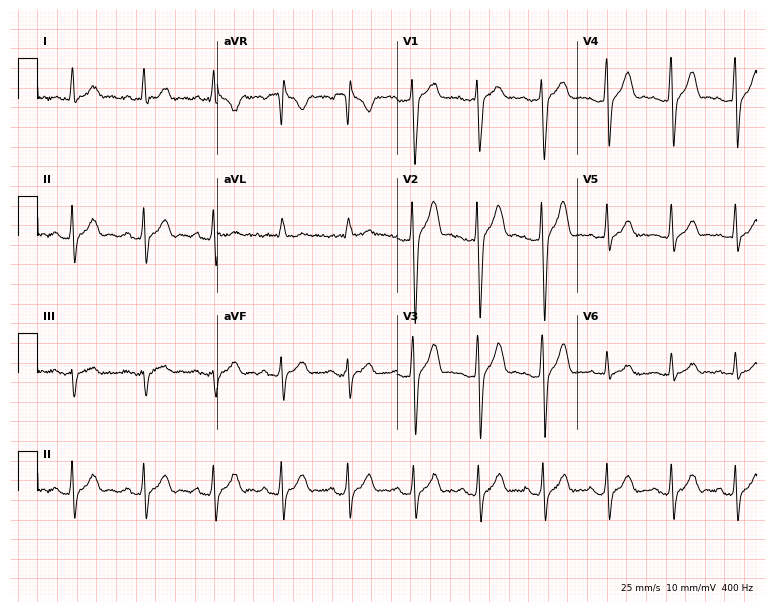
Resting 12-lead electrocardiogram (7.3-second recording at 400 Hz). Patient: a man, 37 years old. None of these six findings is recorded: first-degree AV block, right bundle branch block, left bundle branch block, sinus bradycardia, atrial fibrillation, sinus tachycardia.